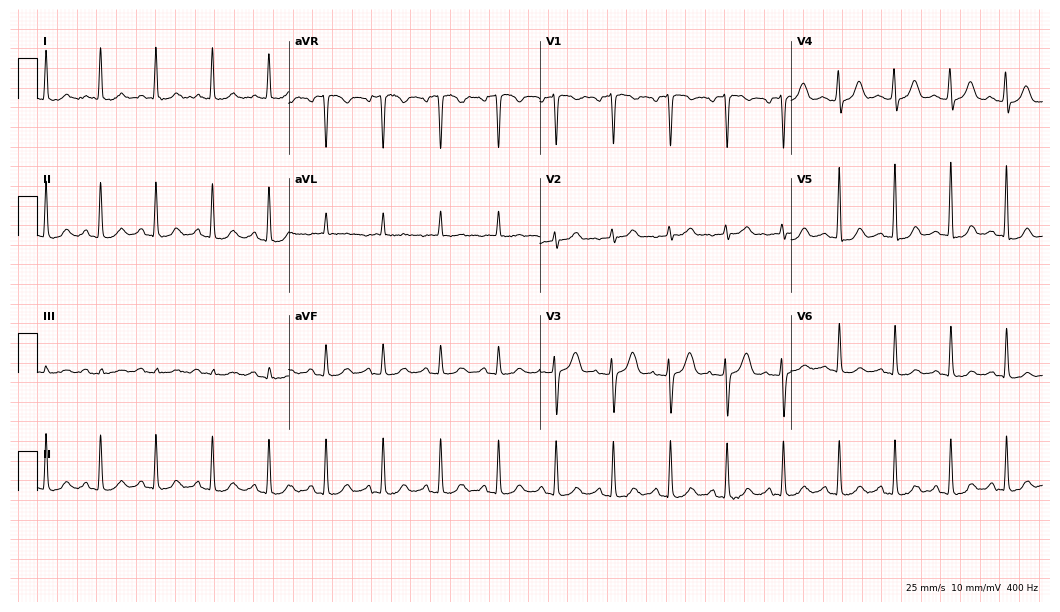
ECG (10.2-second recording at 400 Hz) — a woman, 38 years old. Findings include sinus tachycardia (a sinus rate of 100 beats per minute or more).